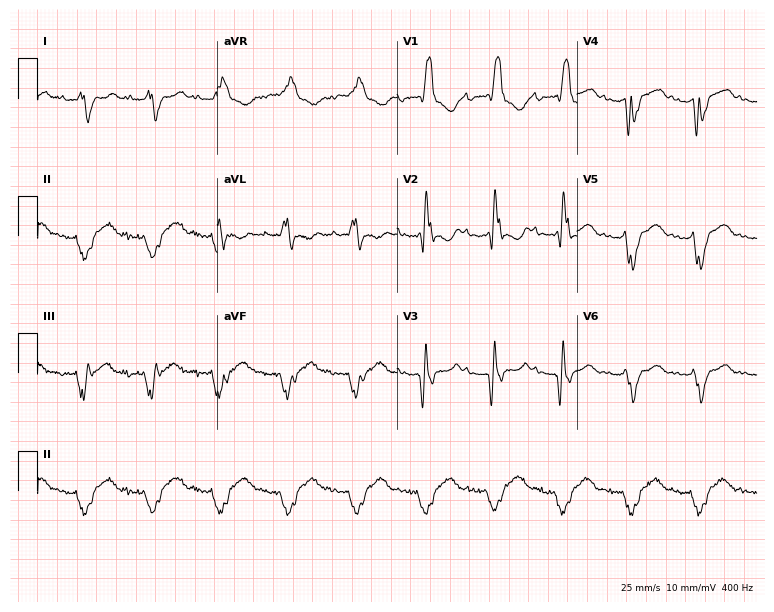
12-lead ECG from a man, 36 years old. Screened for six findings — first-degree AV block, right bundle branch block (RBBB), left bundle branch block (LBBB), sinus bradycardia, atrial fibrillation (AF), sinus tachycardia — none is recorded. Findings outside these six are not listed.